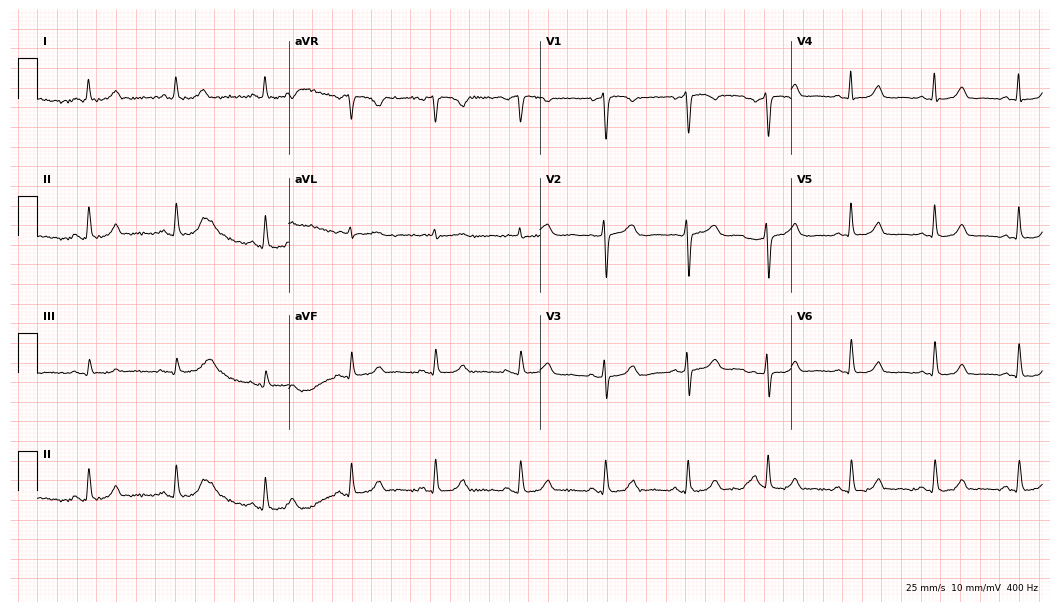
Electrocardiogram (10.2-second recording at 400 Hz), a 60-year-old woman. Overall reading on record: normal ECG.